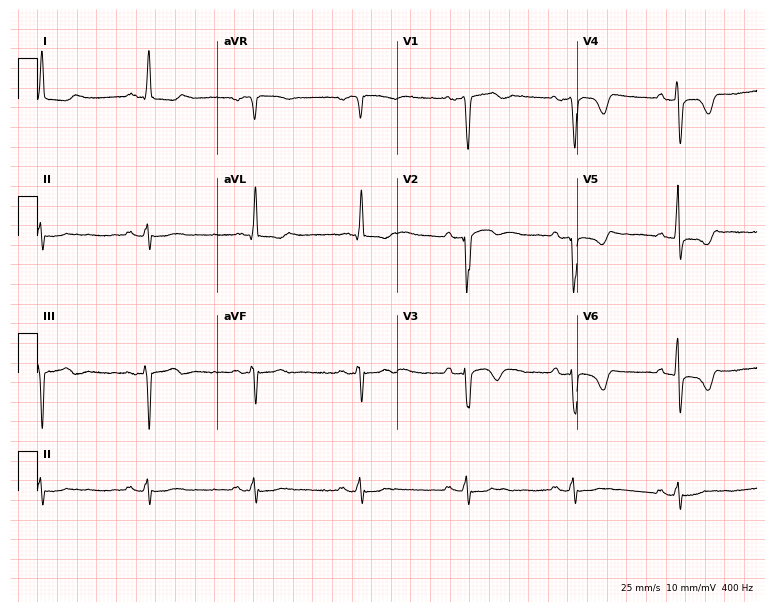
Resting 12-lead electrocardiogram. Patient: a male, 83 years old. None of these six findings is recorded: first-degree AV block, right bundle branch block, left bundle branch block, sinus bradycardia, atrial fibrillation, sinus tachycardia.